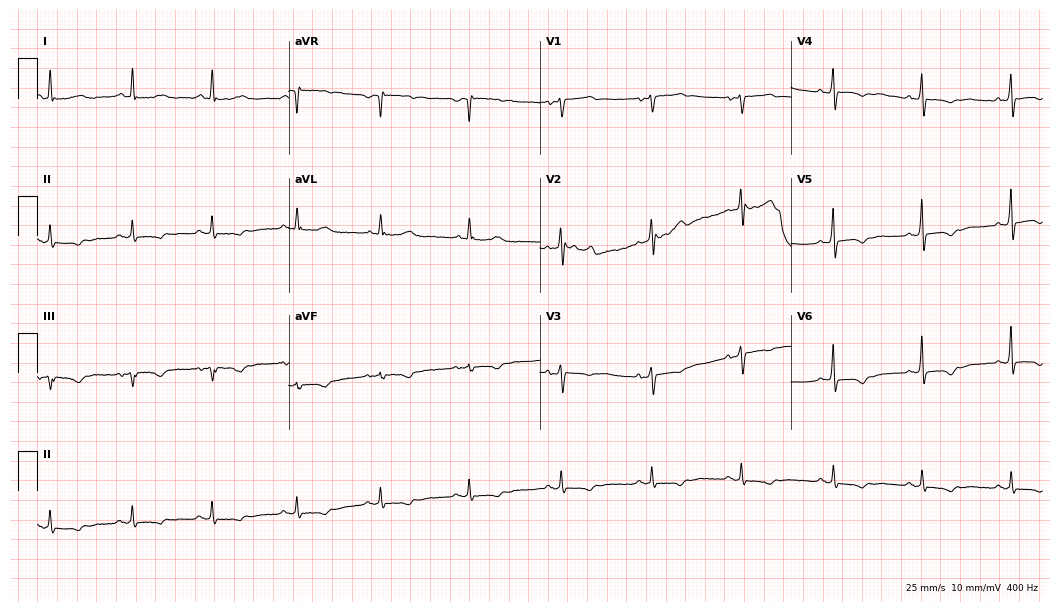
12-lead ECG from a female patient, 42 years old. Screened for six findings — first-degree AV block, right bundle branch block, left bundle branch block, sinus bradycardia, atrial fibrillation, sinus tachycardia — none is recorded. Findings outside these six are not listed.